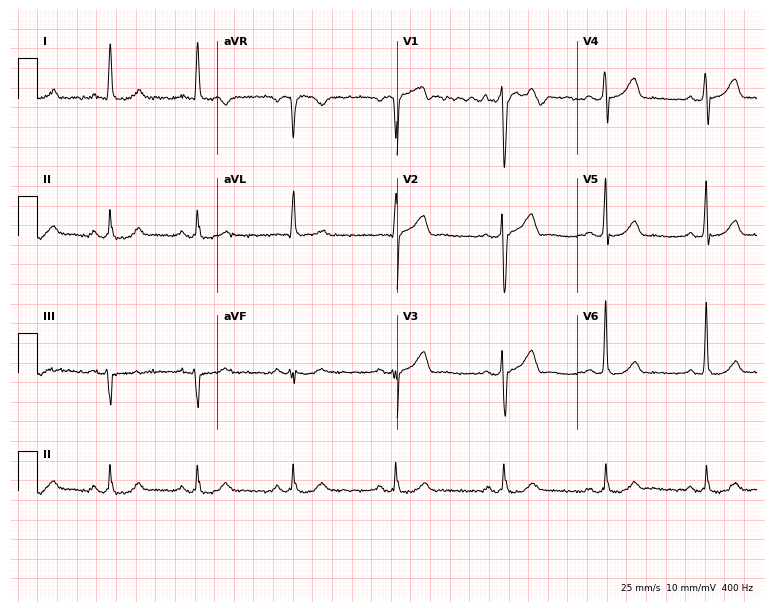
Standard 12-lead ECG recorded from a woman, 77 years old (7.3-second recording at 400 Hz). Read as a normal ECG.